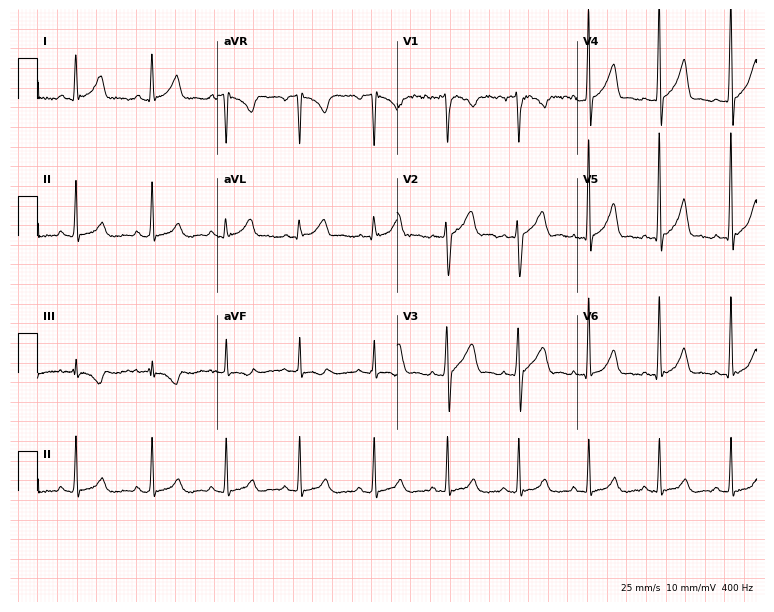
Standard 12-lead ECG recorded from a 27-year-old male patient (7.3-second recording at 400 Hz). Read as a normal ECG.